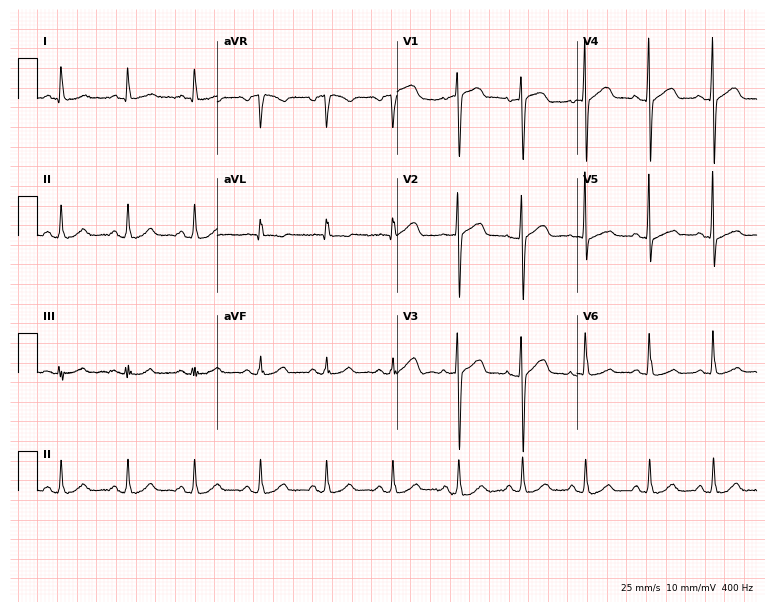
Standard 12-lead ECG recorded from a 75-year-old female (7.3-second recording at 400 Hz). Read as a normal ECG.